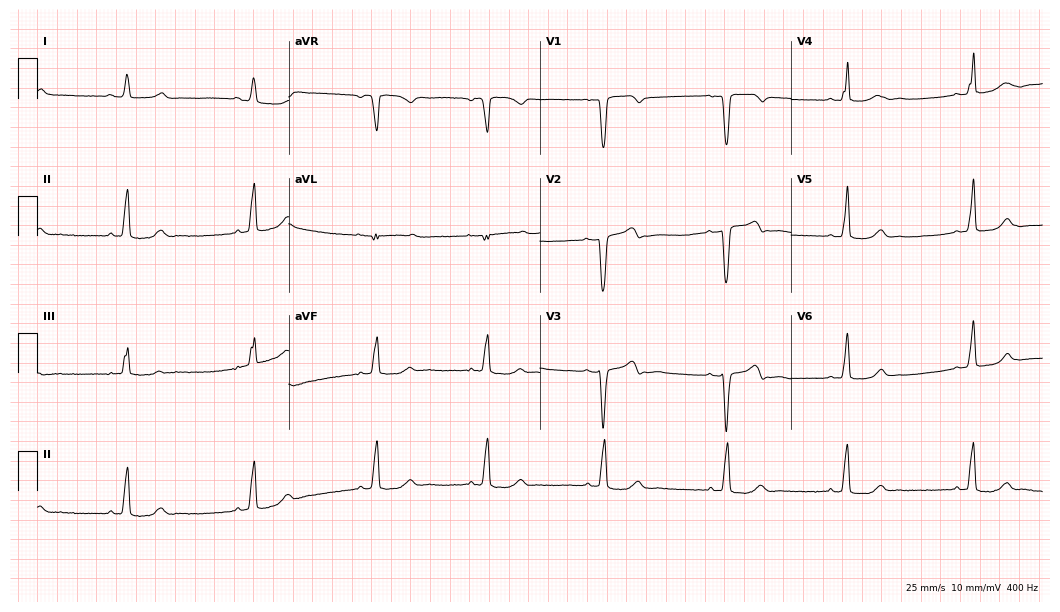
Electrocardiogram, a female, 33 years old. Interpretation includes sinus bradycardia (a sinus rate of 50 beats per minute or less).